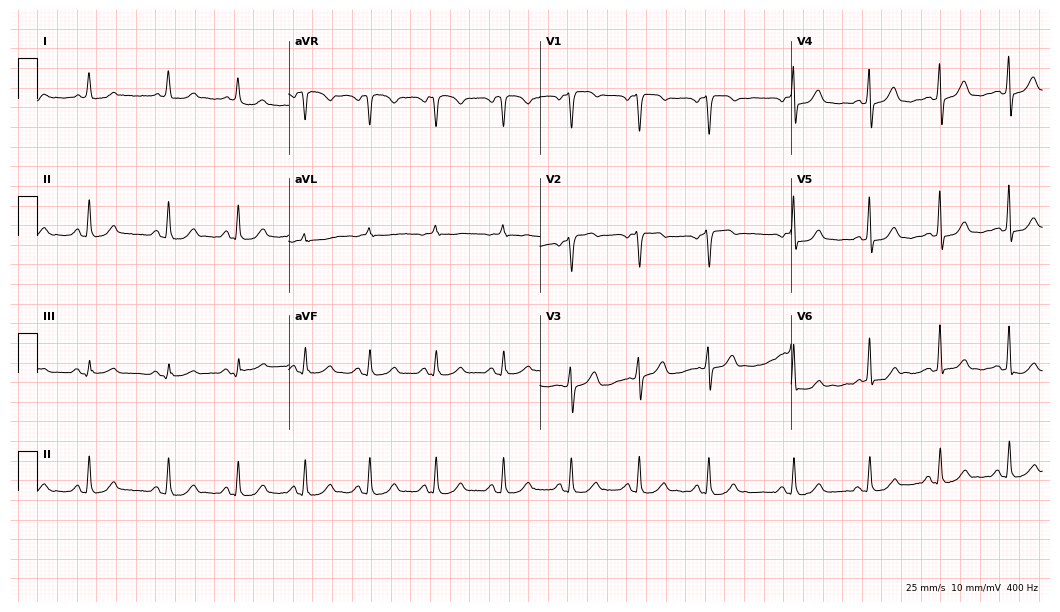
12-lead ECG from a woman, 44 years old (10.2-second recording at 400 Hz). No first-degree AV block, right bundle branch block (RBBB), left bundle branch block (LBBB), sinus bradycardia, atrial fibrillation (AF) or sinus tachycardia recorded for this tracing. Other findings, if any, are not listed.